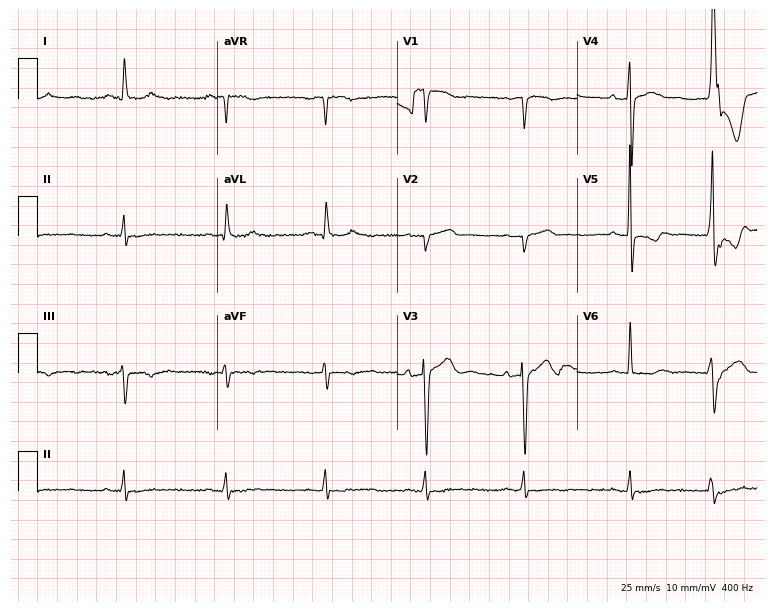
Resting 12-lead electrocardiogram. Patient: an 84-year-old man. None of these six findings is recorded: first-degree AV block, right bundle branch block, left bundle branch block, sinus bradycardia, atrial fibrillation, sinus tachycardia.